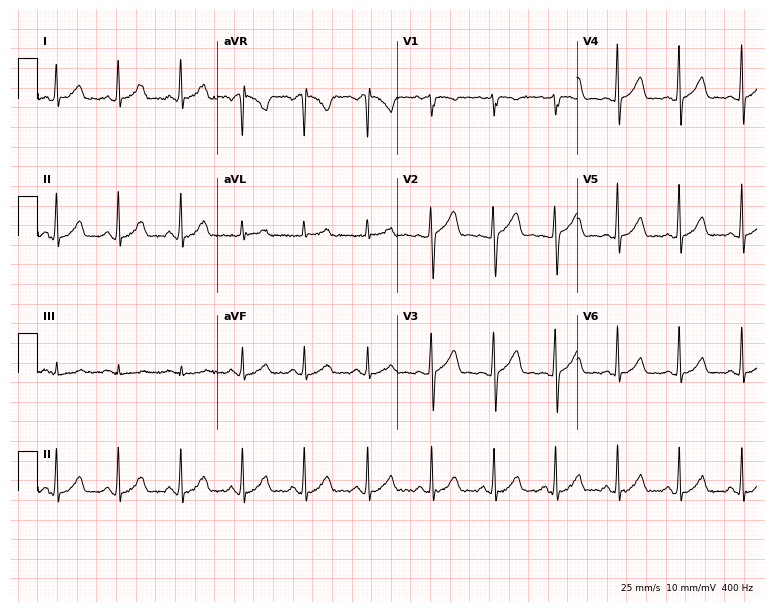
Standard 12-lead ECG recorded from a 34-year-old woman (7.3-second recording at 400 Hz). Read as a normal ECG.